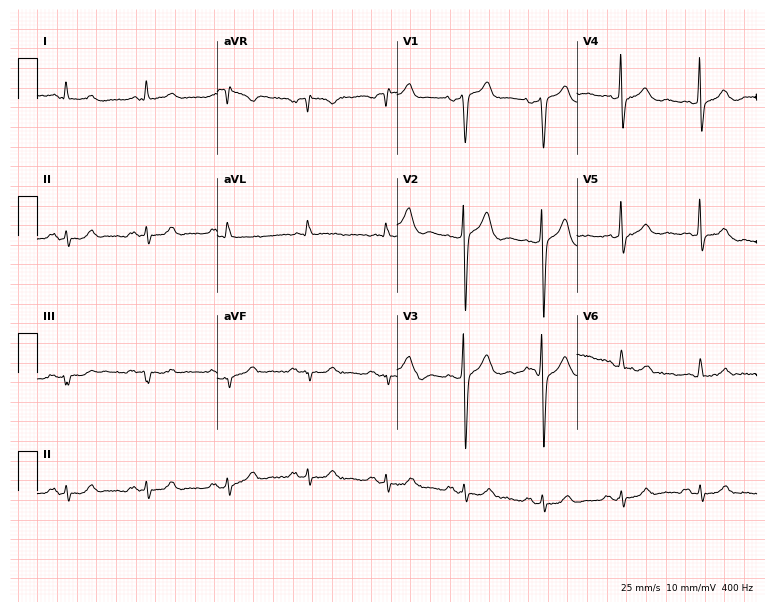
12-lead ECG from a male, 68 years old (7.3-second recording at 400 Hz). No first-degree AV block, right bundle branch block (RBBB), left bundle branch block (LBBB), sinus bradycardia, atrial fibrillation (AF) or sinus tachycardia recorded for this tracing. Other findings, if any, are not listed.